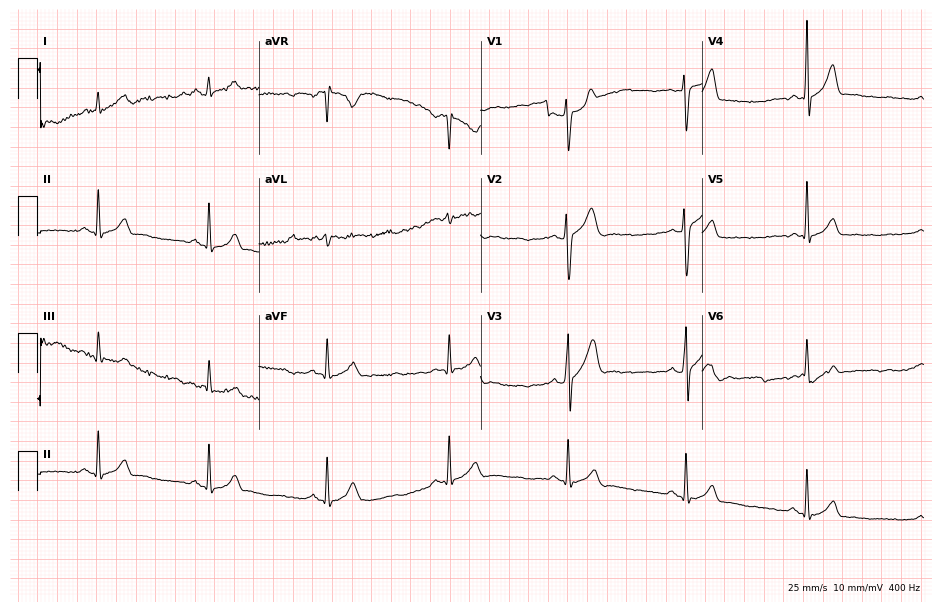
Resting 12-lead electrocardiogram (9-second recording at 400 Hz). Patient: a man, 21 years old. Read as a normal ECG.